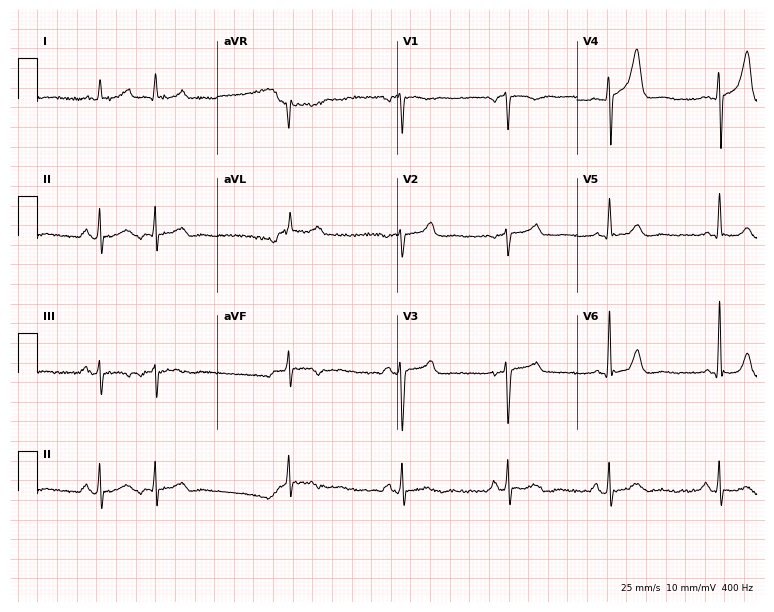
ECG — a 68-year-old male patient. Screened for six findings — first-degree AV block, right bundle branch block, left bundle branch block, sinus bradycardia, atrial fibrillation, sinus tachycardia — none is recorded. Other findings, if any, are not listed.